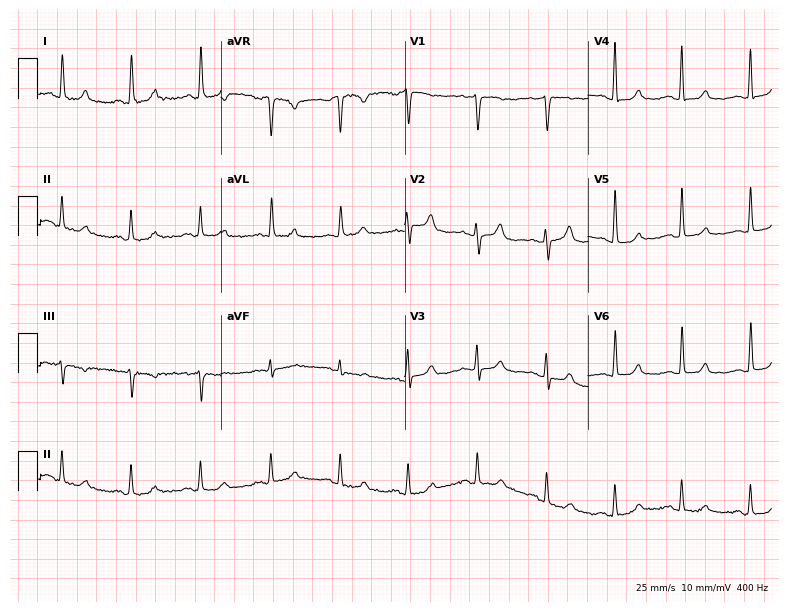
Electrocardiogram (7.5-second recording at 400 Hz), a female, 76 years old. Overall reading on record: normal ECG.